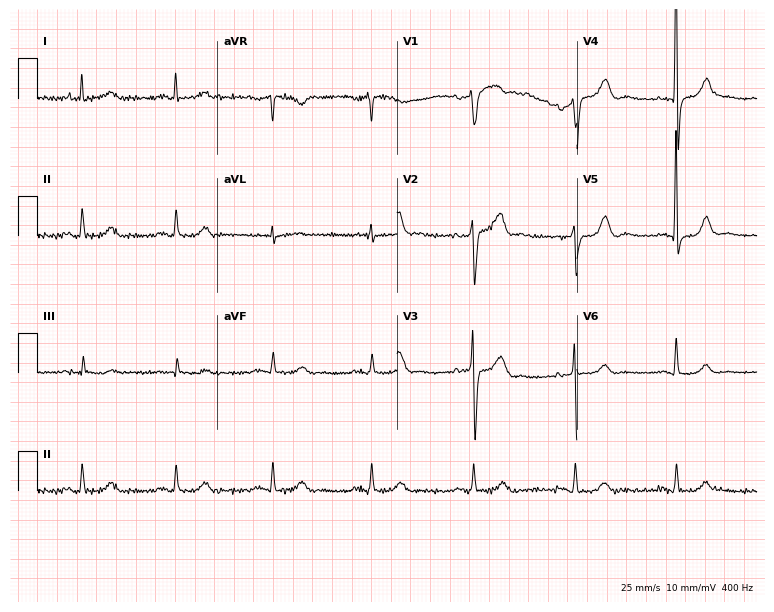
ECG — a 76-year-old man. Screened for six findings — first-degree AV block, right bundle branch block (RBBB), left bundle branch block (LBBB), sinus bradycardia, atrial fibrillation (AF), sinus tachycardia — none is recorded.